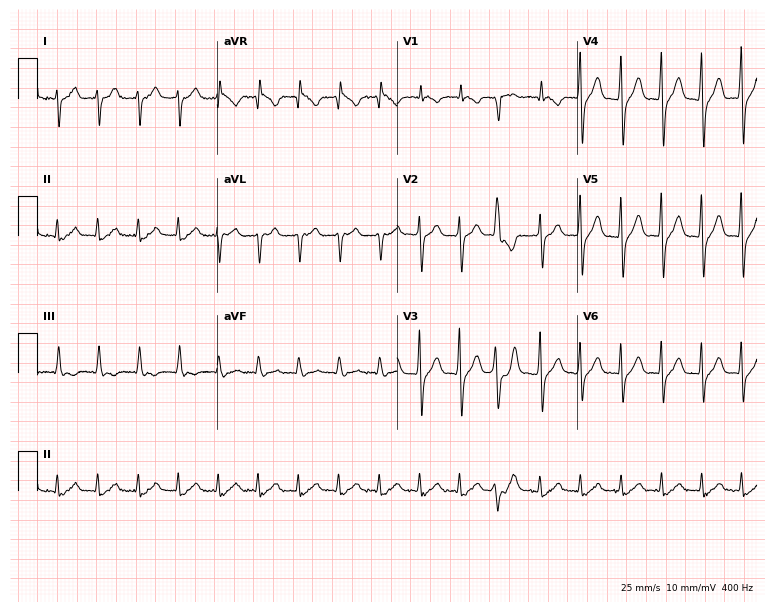
Electrocardiogram, a 70-year-old male. Interpretation includes atrial fibrillation, sinus tachycardia (a sinus rate of 100 beats per minute or more).